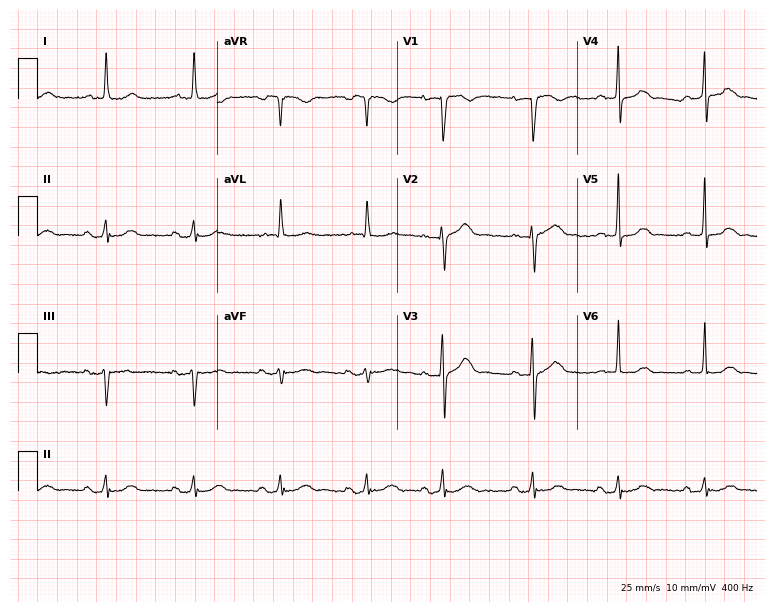
Resting 12-lead electrocardiogram (7.3-second recording at 400 Hz). Patient: a 77-year-old female. None of these six findings is recorded: first-degree AV block, right bundle branch block, left bundle branch block, sinus bradycardia, atrial fibrillation, sinus tachycardia. Only these six findings were labelled.